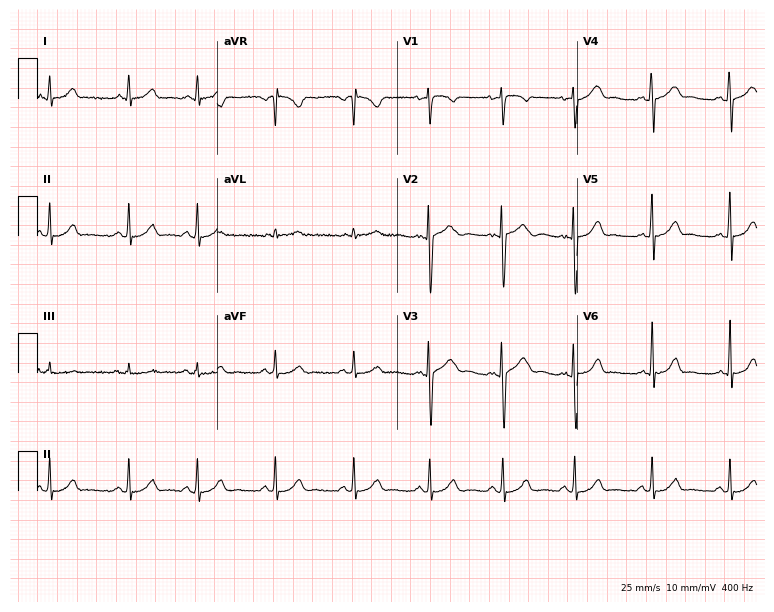
Standard 12-lead ECG recorded from a 17-year-old female (7.3-second recording at 400 Hz). Read as a normal ECG.